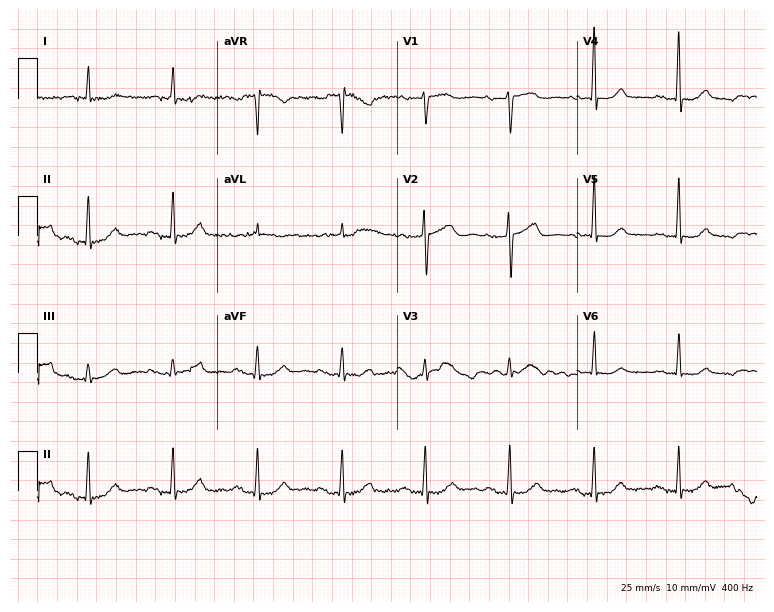
12-lead ECG from a woman, 65 years old. Shows first-degree AV block.